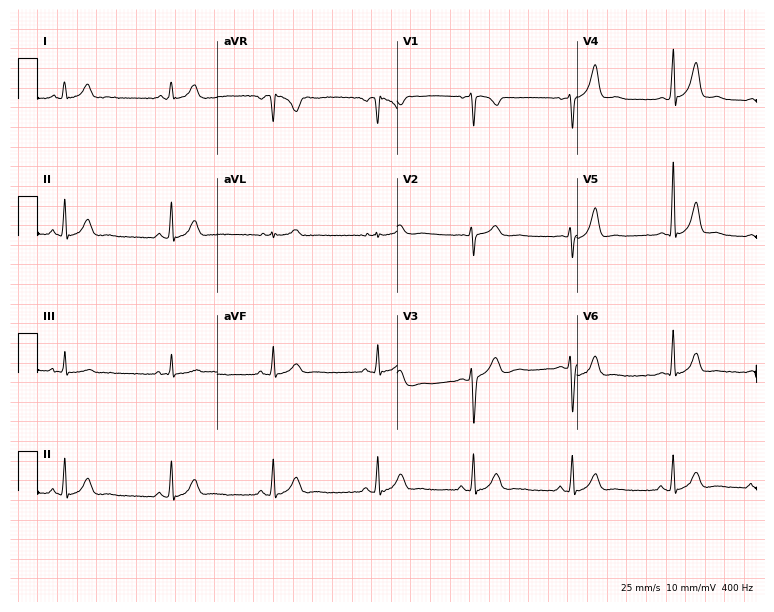
12-lead ECG from a female, 19 years old (7.3-second recording at 400 Hz). No first-degree AV block, right bundle branch block (RBBB), left bundle branch block (LBBB), sinus bradycardia, atrial fibrillation (AF) or sinus tachycardia recorded for this tracing.